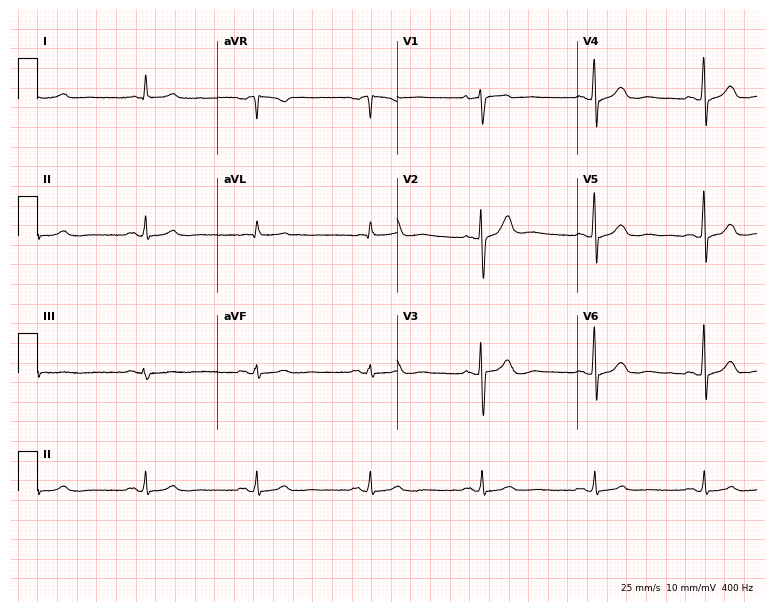
Resting 12-lead electrocardiogram (7.3-second recording at 400 Hz). Patient: a 69-year-old male. Read as a normal ECG.